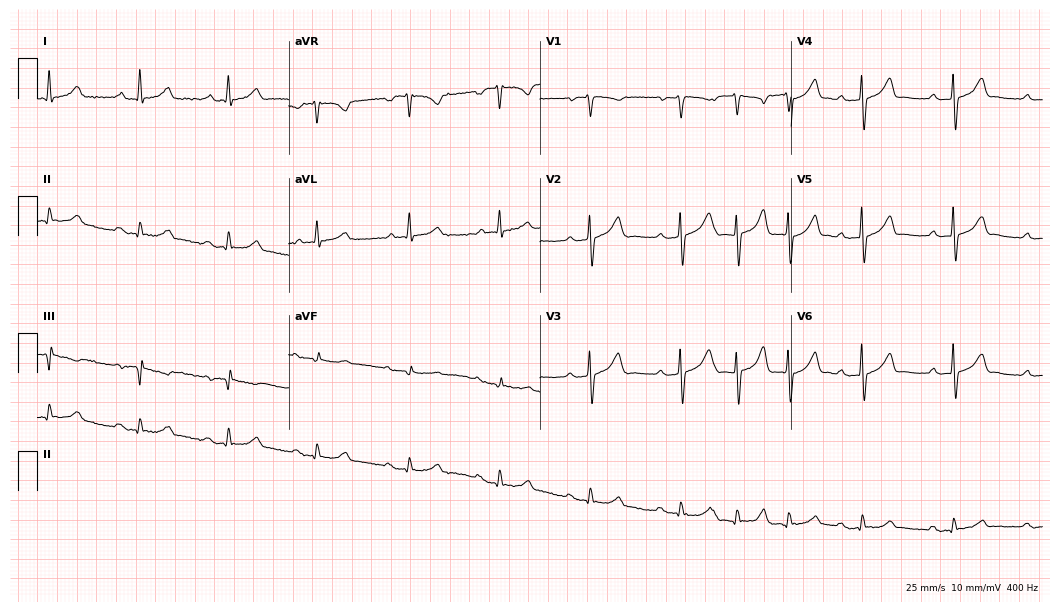
Resting 12-lead electrocardiogram. Patient: a 79-year-old male. Read as a normal ECG.